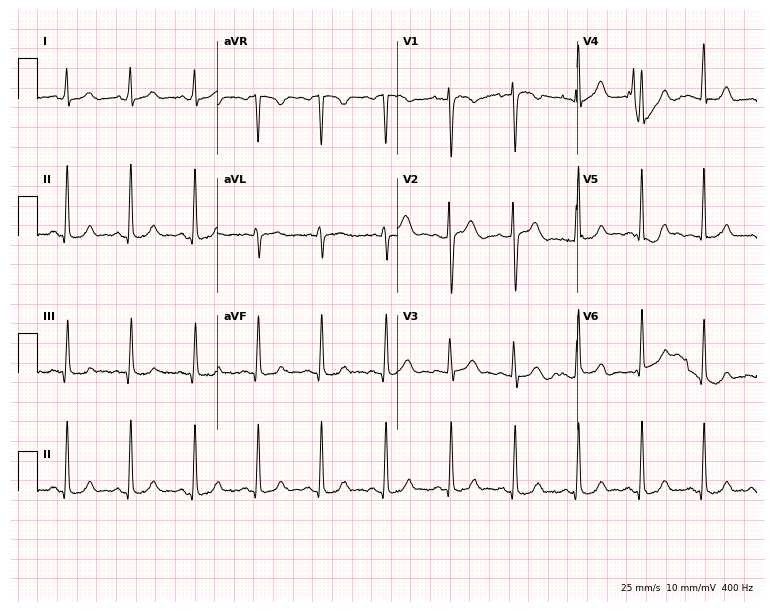
Electrocardiogram, a female, 20 years old. Overall reading on record: normal ECG.